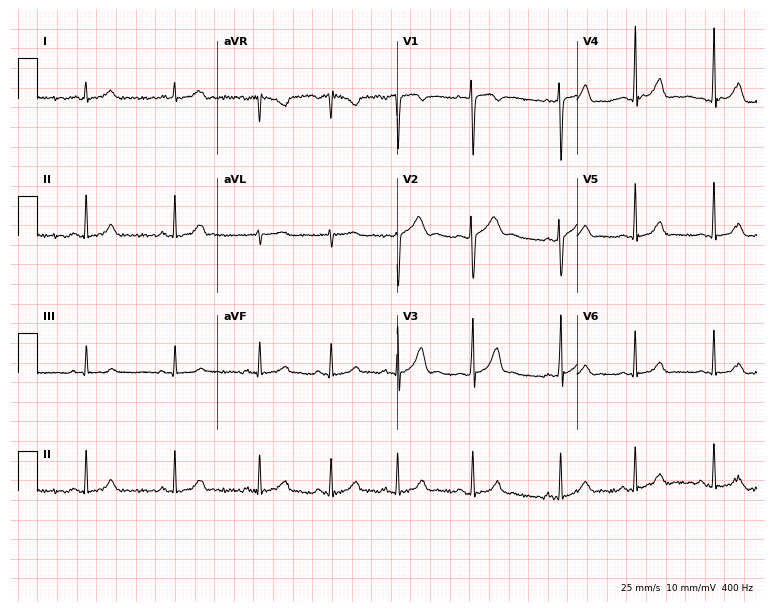
ECG — a 21-year-old woman. Screened for six findings — first-degree AV block, right bundle branch block, left bundle branch block, sinus bradycardia, atrial fibrillation, sinus tachycardia — none is recorded.